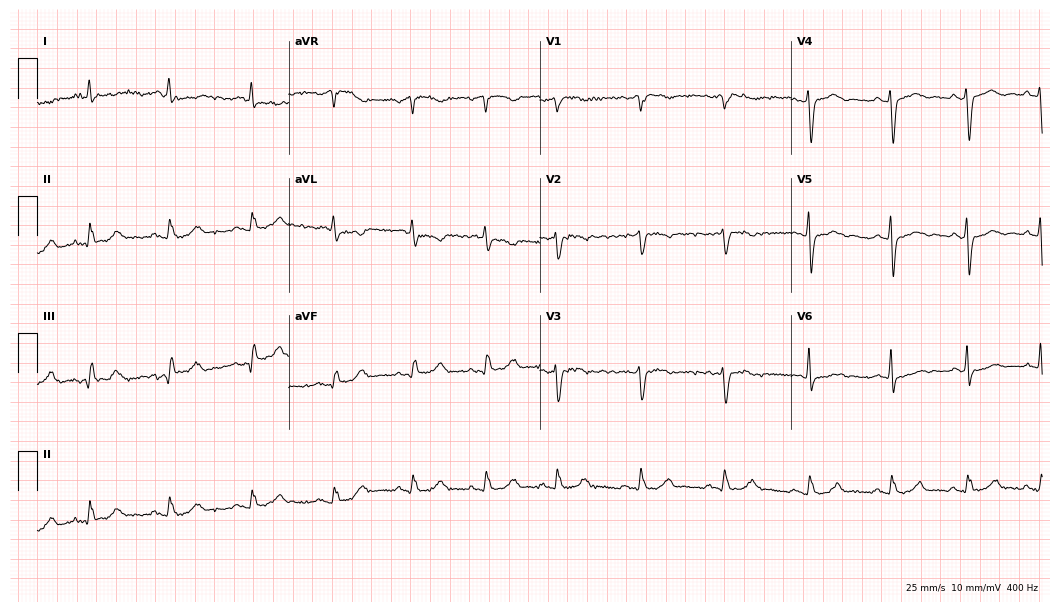
12-lead ECG (10.2-second recording at 400 Hz) from a female patient, 66 years old. Labelled as a normal ECG.